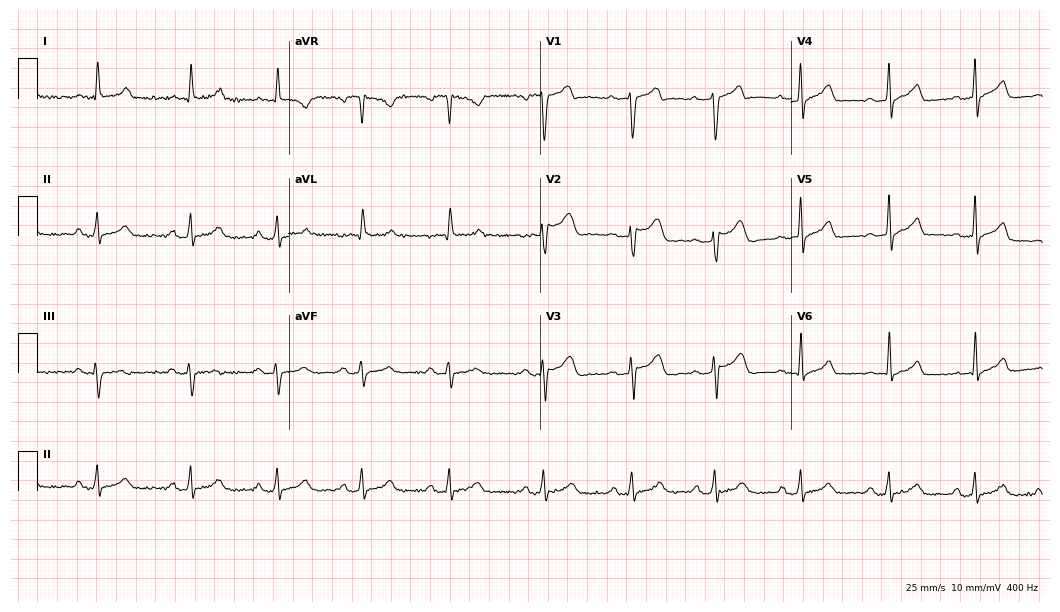
12-lead ECG from a man, 65 years old (10.2-second recording at 400 Hz). No first-degree AV block, right bundle branch block, left bundle branch block, sinus bradycardia, atrial fibrillation or sinus tachycardia recorded for this tracing.